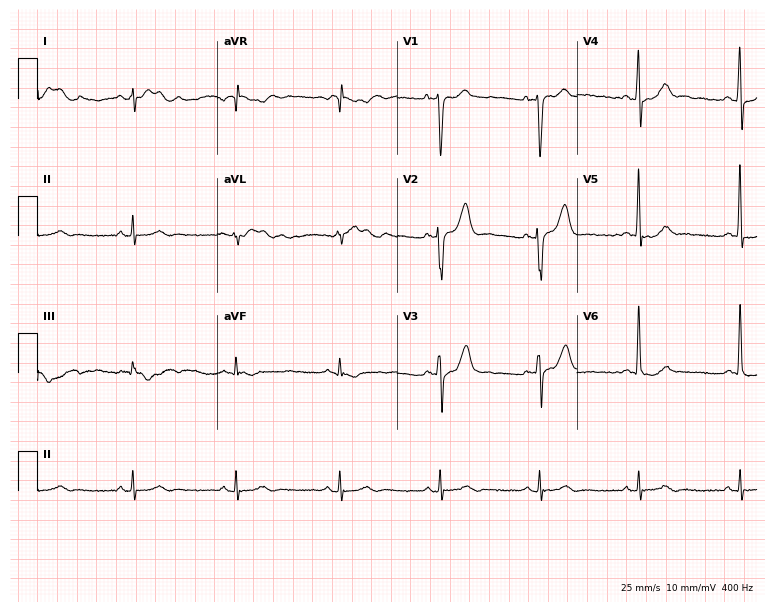
Resting 12-lead electrocardiogram (7.3-second recording at 400 Hz). Patient: a male, 40 years old. None of these six findings is recorded: first-degree AV block, right bundle branch block, left bundle branch block, sinus bradycardia, atrial fibrillation, sinus tachycardia. Findings outside these six are not listed.